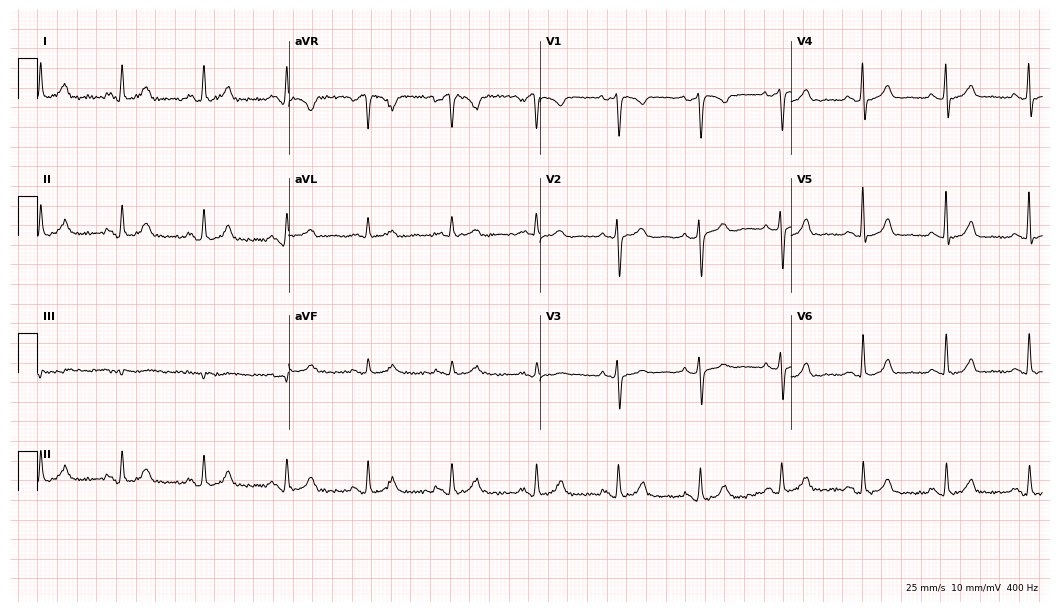
Standard 12-lead ECG recorded from a woman, 52 years old. None of these six findings is recorded: first-degree AV block, right bundle branch block, left bundle branch block, sinus bradycardia, atrial fibrillation, sinus tachycardia.